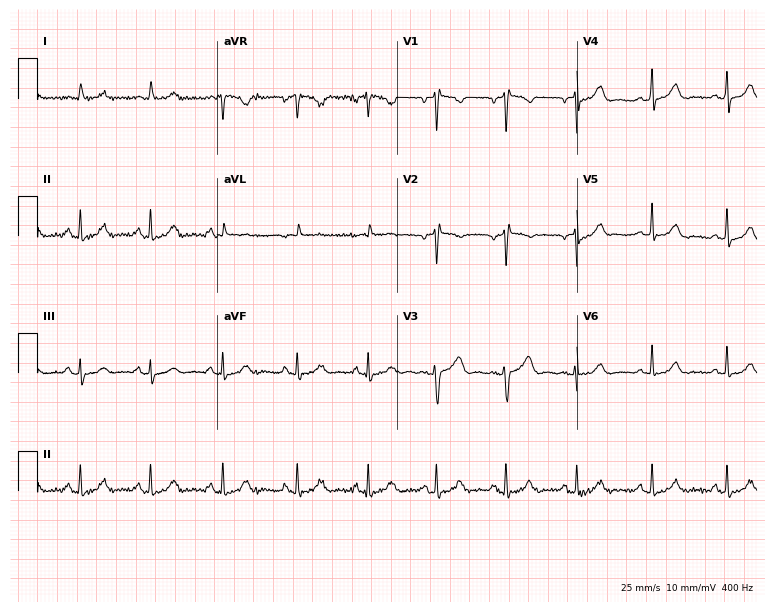
ECG — a 38-year-old female. Screened for six findings — first-degree AV block, right bundle branch block (RBBB), left bundle branch block (LBBB), sinus bradycardia, atrial fibrillation (AF), sinus tachycardia — none is recorded. Only these six findings were labelled.